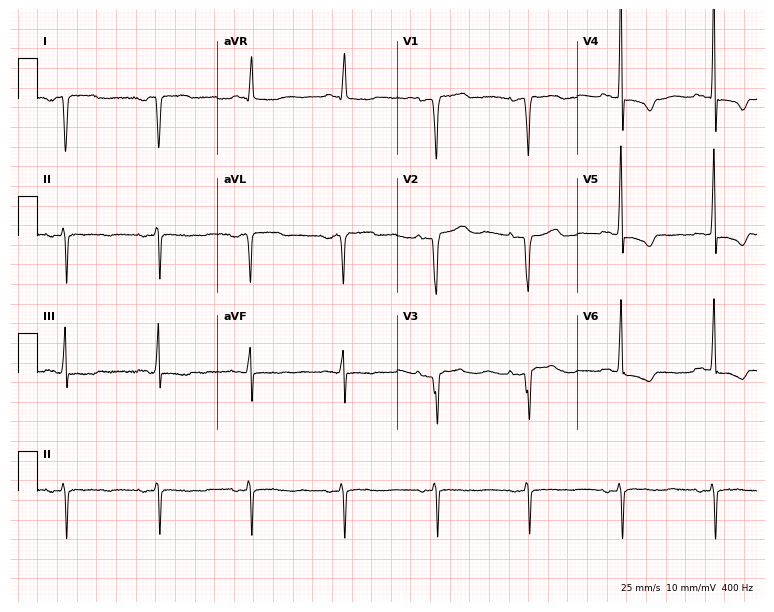
Standard 12-lead ECG recorded from a female patient, 85 years old (7.3-second recording at 400 Hz). None of these six findings is recorded: first-degree AV block, right bundle branch block (RBBB), left bundle branch block (LBBB), sinus bradycardia, atrial fibrillation (AF), sinus tachycardia.